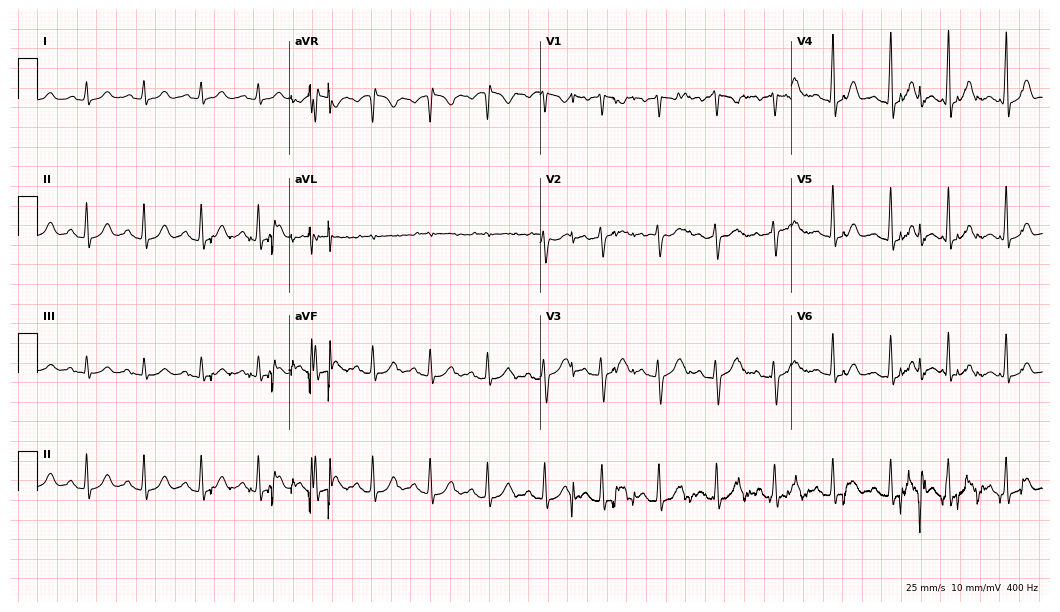
12-lead ECG from a female, 50 years old (10.2-second recording at 400 Hz). No first-degree AV block, right bundle branch block (RBBB), left bundle branch block (LBBB), sinus bradycardia, atrial fibrillation (AF) or sinus tachycardia recorded for this tracing.